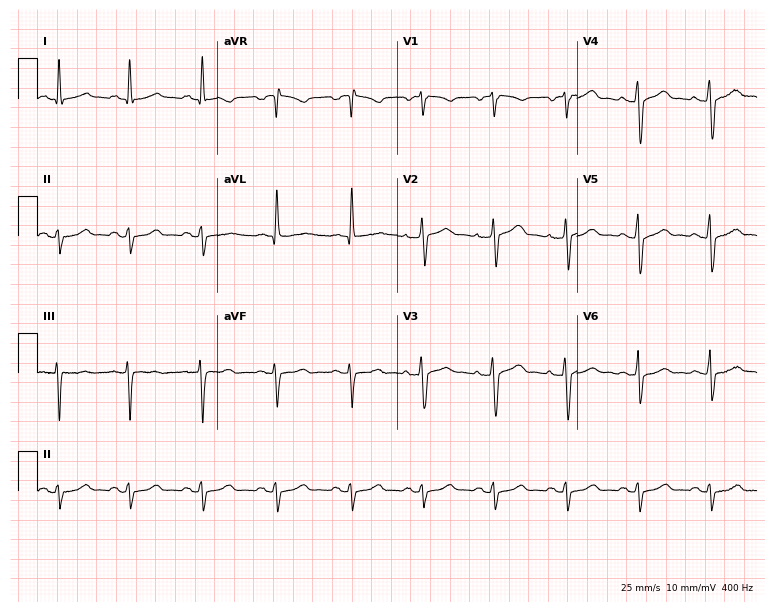
ECG (7.3-second recording at 400 Hz) — a male patient, 55 years old. Screened for six findings — first-degree AV block, right bundle branch block (RBBB), left bundle branch block (LBBB), sinus bradycardia, atrial fibrillation (AF), sinus tachycardia — none is recorded.